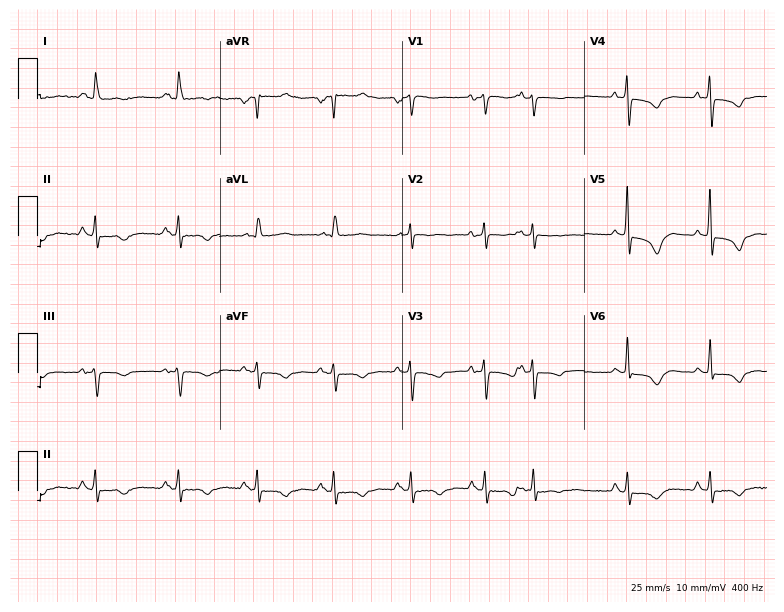
12-lead ECG from a female, 65 years old. Screened for six findings — first-degree AV block, right bundle branch block, left bundle branch block, sinus bradycardia, atrial fibrillation, sinus tachycardia — none is recorded.